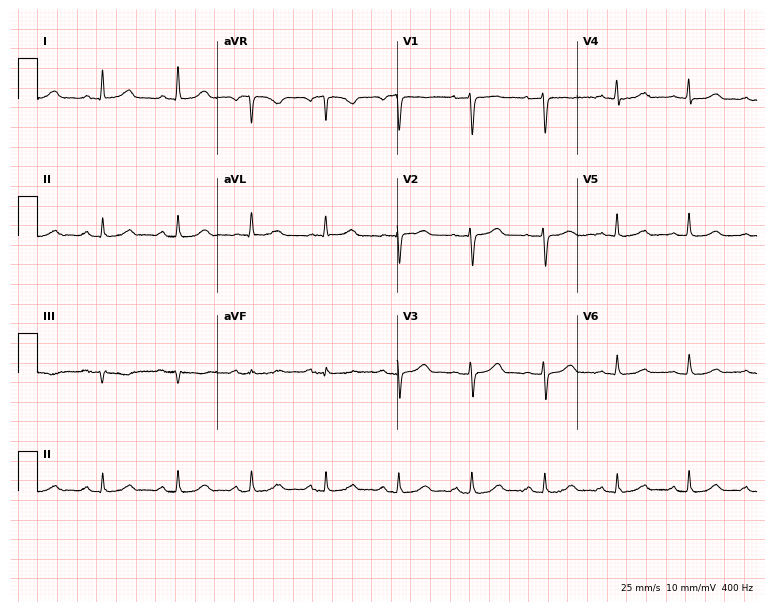
ECG (7.3-second recording at 400 Hz) — a 66-year-old female patient. Labelled as a normal ECG.